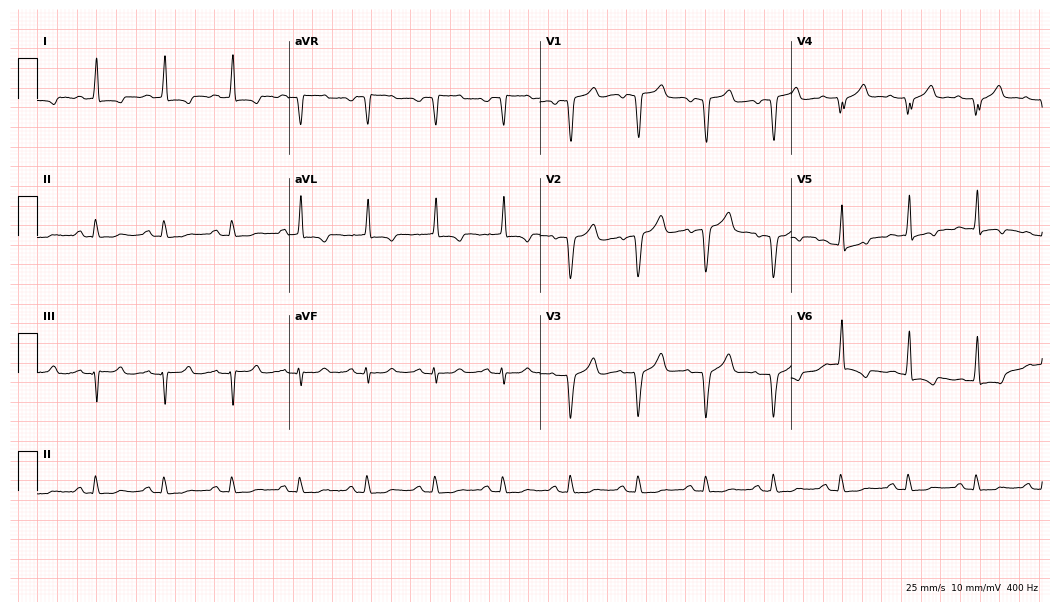
Standard 12-lead ECG recorded from a woman, 50 years old (10.2-second recording at 400 Hz). None of these six findings is recorded: first-degree AV block, right bundle branch block, left bundle branch block, sinus bradycardia, atrial fibrillation, sinus tachycardia.